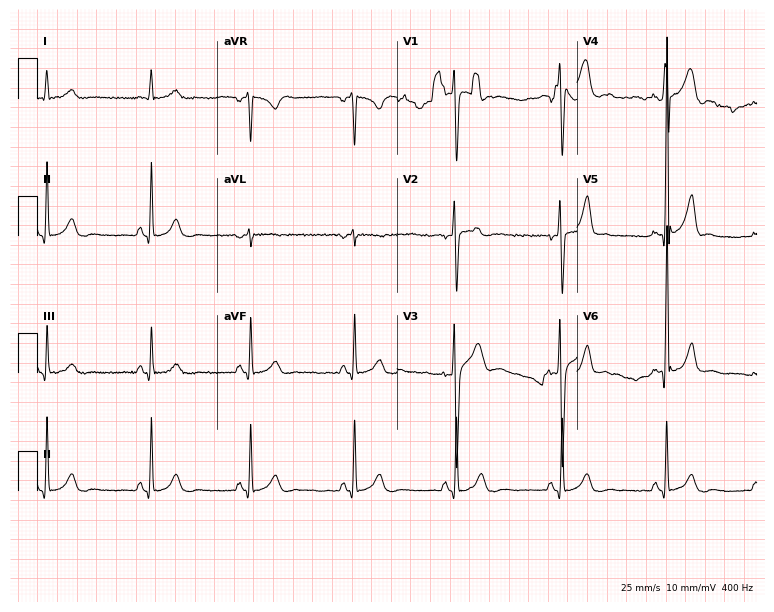
12-lead ECG from a male patient, 21 years old. Recorded interpretation: within normal limits.